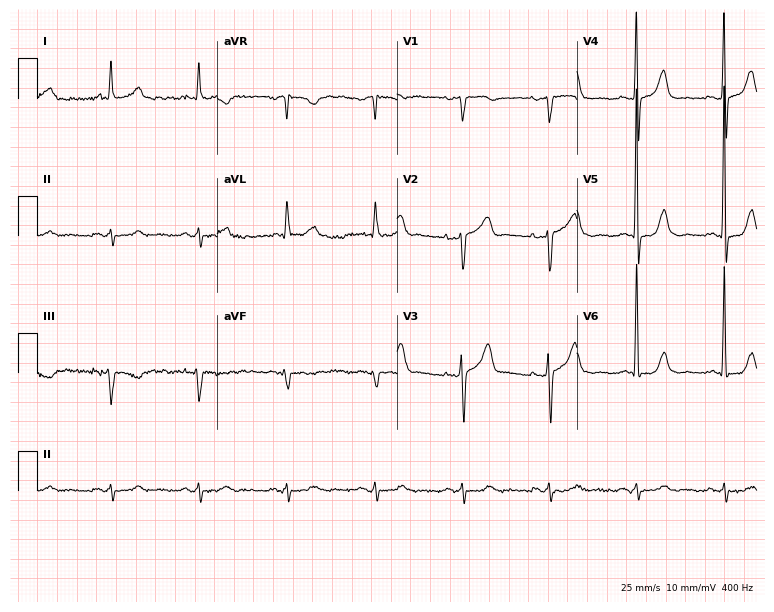
12-lead ECG from an 82-year-old male. Labelled as a normal ECG.